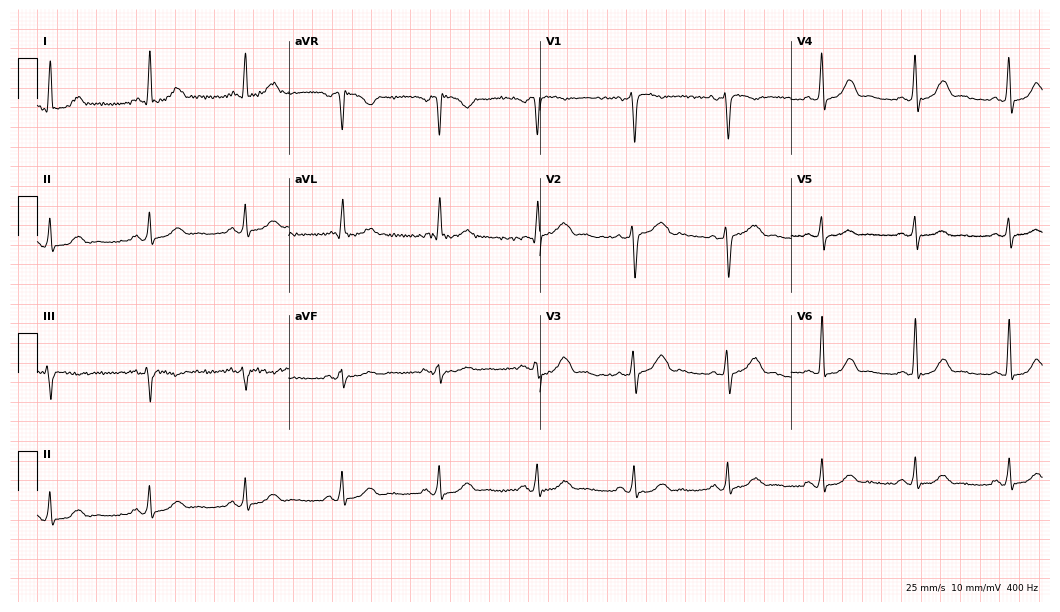
ECG (10.2-second recording at 400 Hz) — a woman, 50 years old. Labelled as a normal ECG.